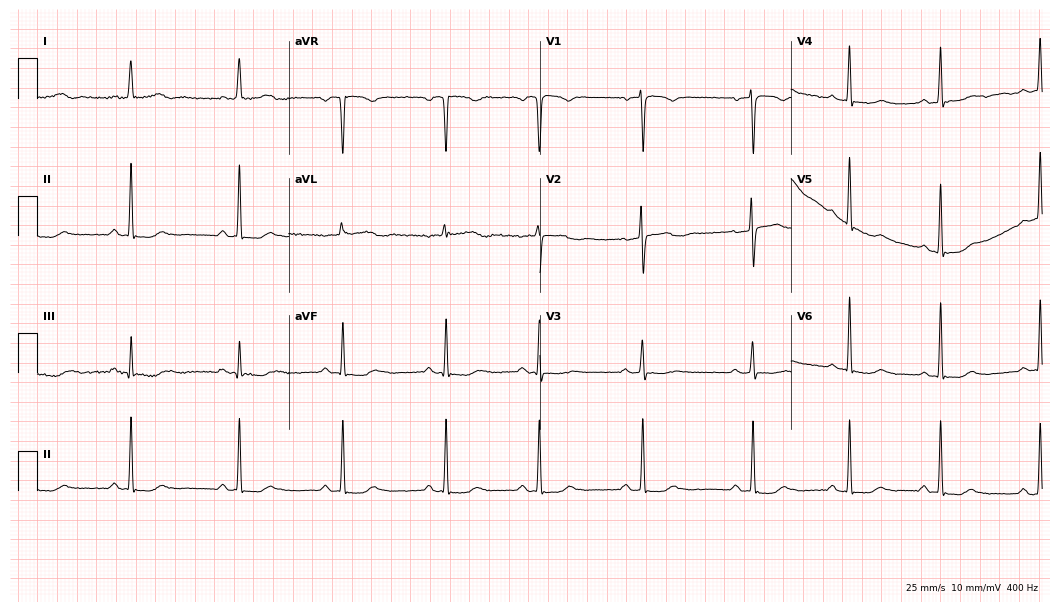
12-lead ECG from a 58-year-old woman (10.2-second recording at 400 Hz). No first-degree AV block, right bundle branch block (RBBB), left bundle branch block (LBBB), sinus bradycardia, atrial fibrillation (AF) or sinus tachycardia recorded for this tracing.